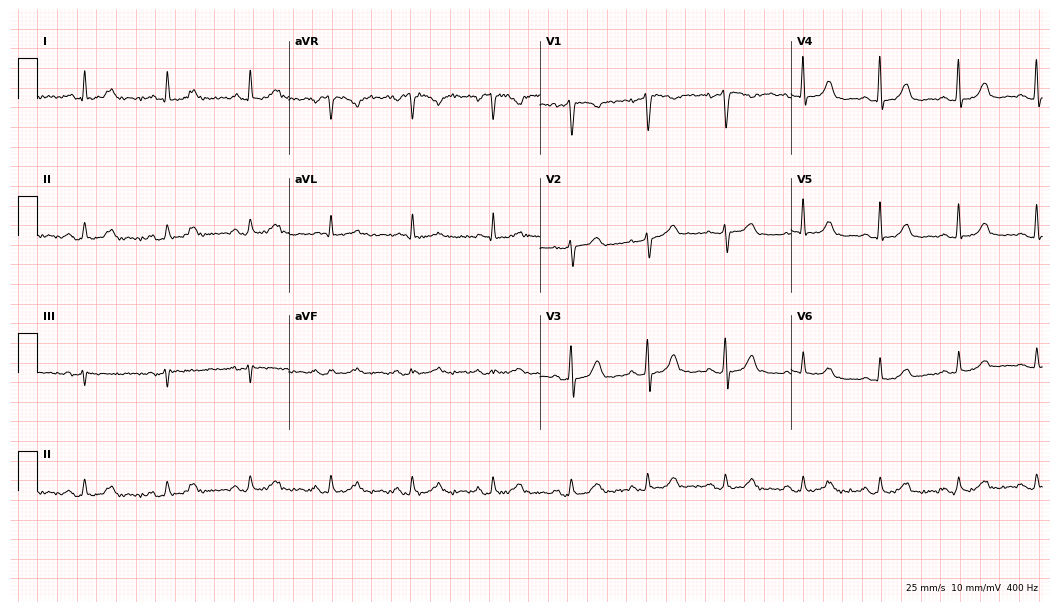
ECG (10.2-second recording at 400 Hz) — a female, 57 years old. Labelled as a normal ECG.